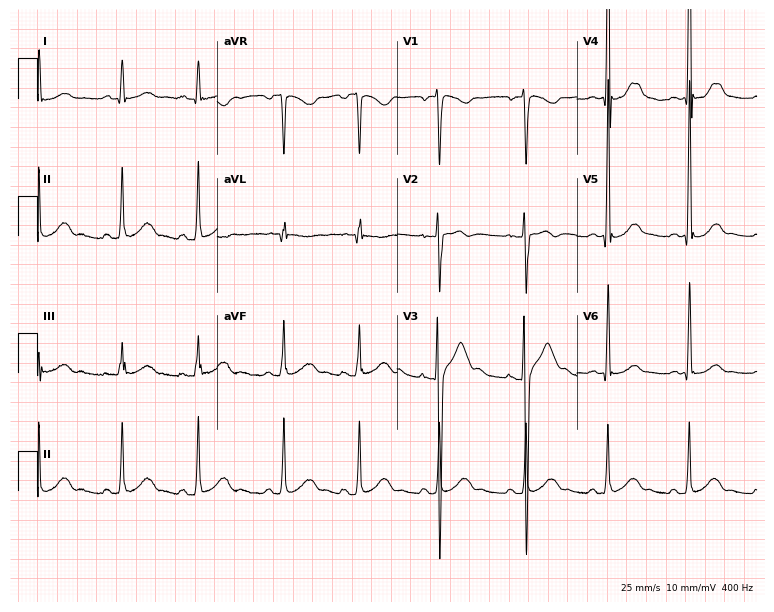
12-lead ECG from a male patient, 18 years old (7.3-second recording at 400 Hz). Recorded interpretation: within normal limits.